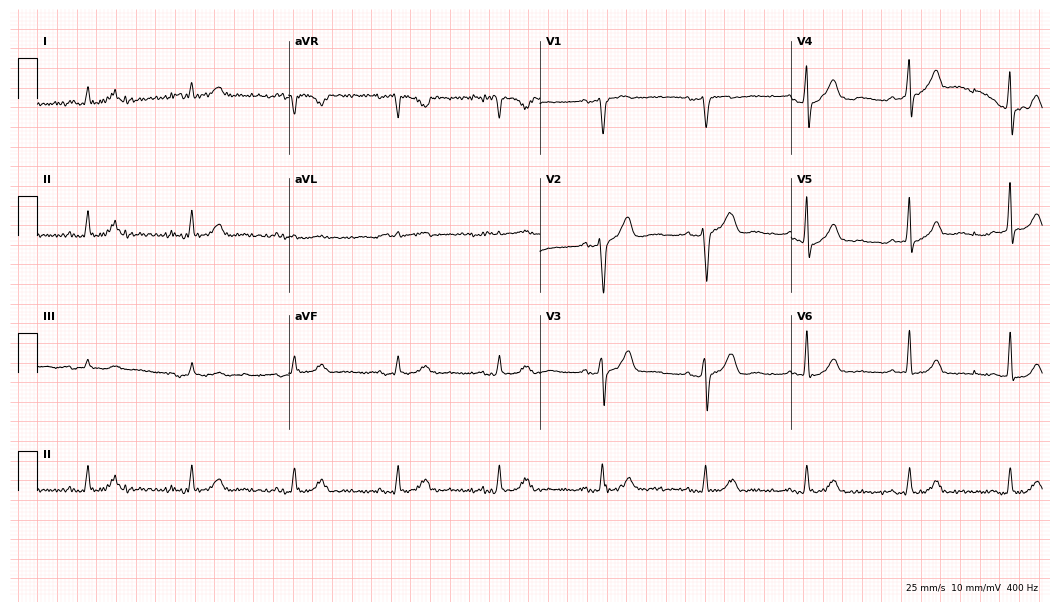
Standard 12-lead ECG recorded from a man, 58 years old. Read as a normal ECG.